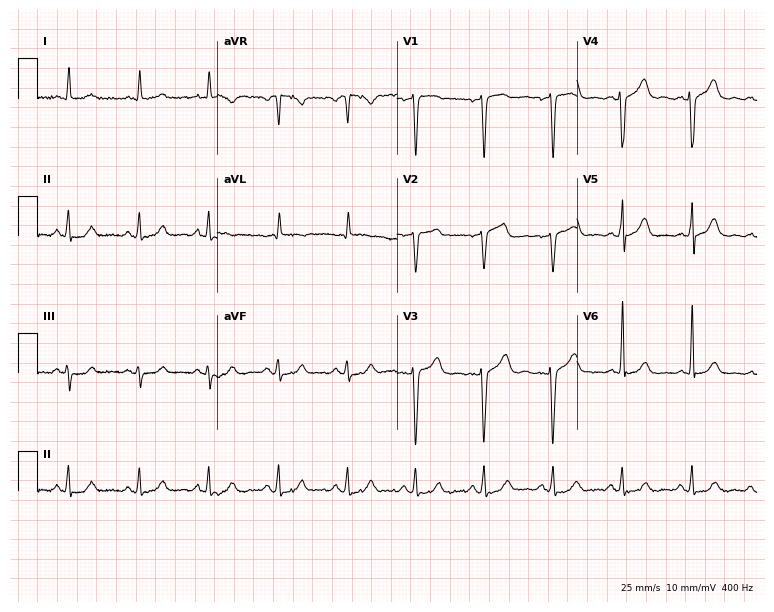
Resting 12-lead electrocardiogram (7.3-second recording at 400 Hz). Patient: a male, 75 years old. None of these six findings is recorded: first-degree AV block, right bundle branch block, left bundle branch block, sinus bradycardia, atrial fibrillation, sinus tachycardia.